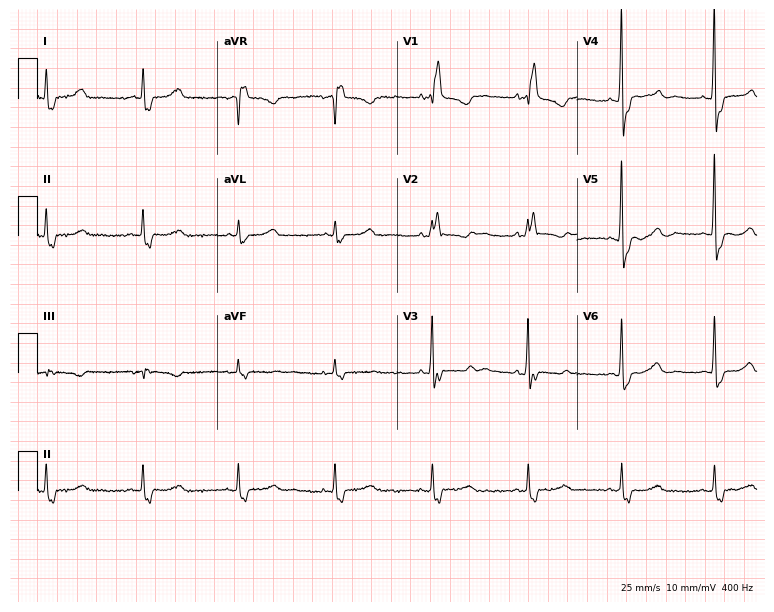
12-lead ECG from a 54-year-old female. Shows right bundle branch block (RBBB).